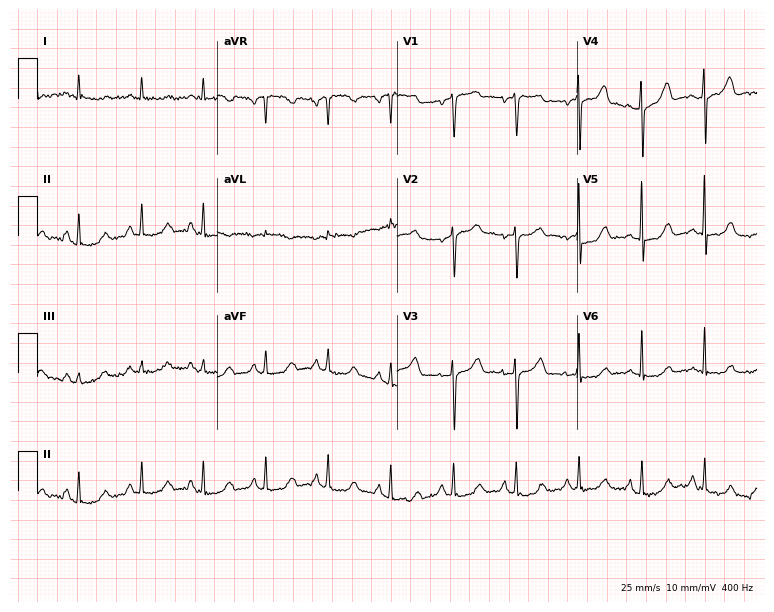
Standard 12-lead ECG recorded from a 58-year-old woman (7.3-second recording at 400 Hz). Read as a normal ECG.